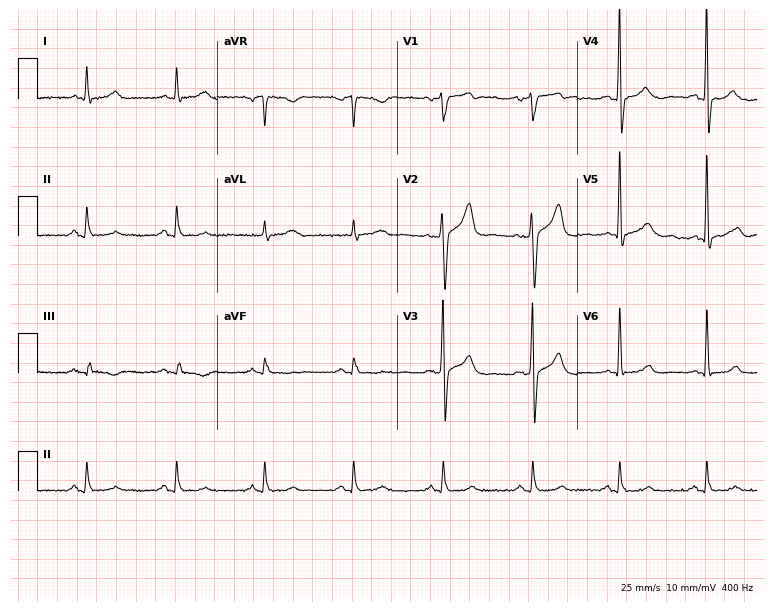
Standard 12-lead ECG recorded from a 55-year-old man. None of these six findings is recorded: first-degree AV block, right bundle branch block, left bundle branch block, sinus bradycardia, atrial fibrillation, sinus tachycardia. Other findings, if any, are not listed.